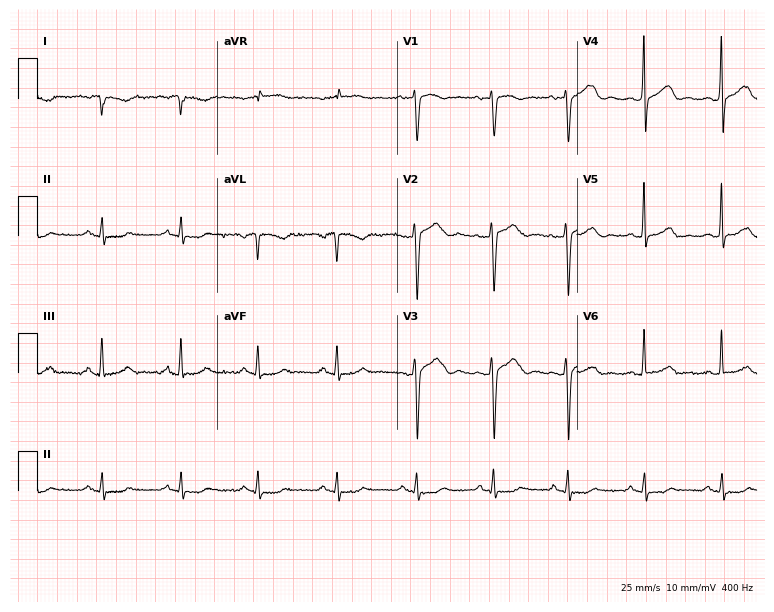
Standard 12-lead ECG recorded from a female patient, 42 years old. None of these six findings is recorded: first-degree AV block, right bundle branch block, left bundle branch block, sinus bradycardia, atrial fibrillation, sinus tachycardia.